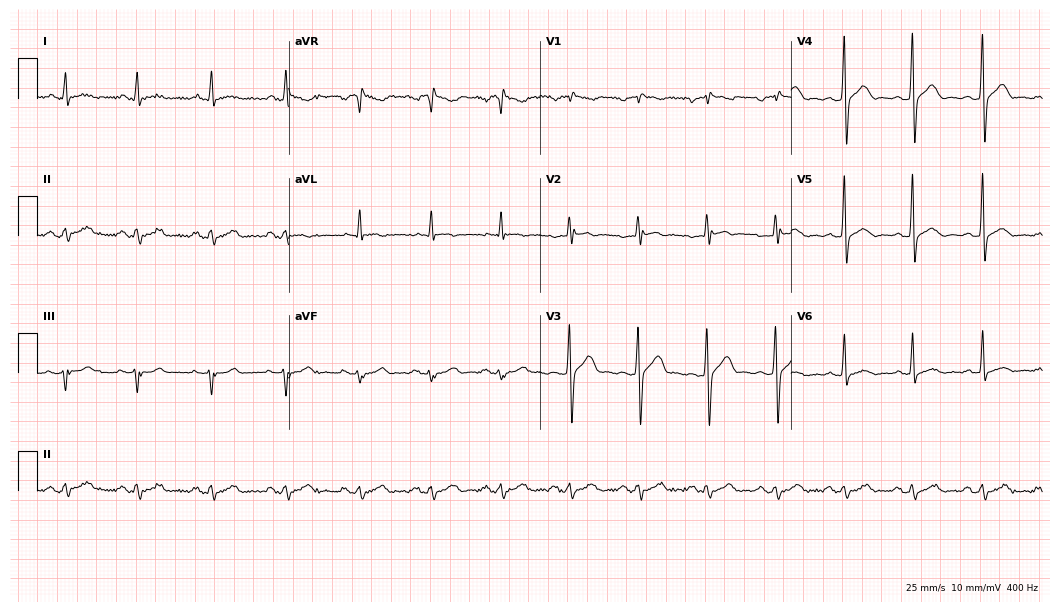
Standard 12-lead ECG recorded from a male, 48 years old. None of these six findings is recorded: first-degree AV block, right bundle branch block, left bundle branch block, sinus bradycardia, atrial fibrillation, sinus tachycardia.